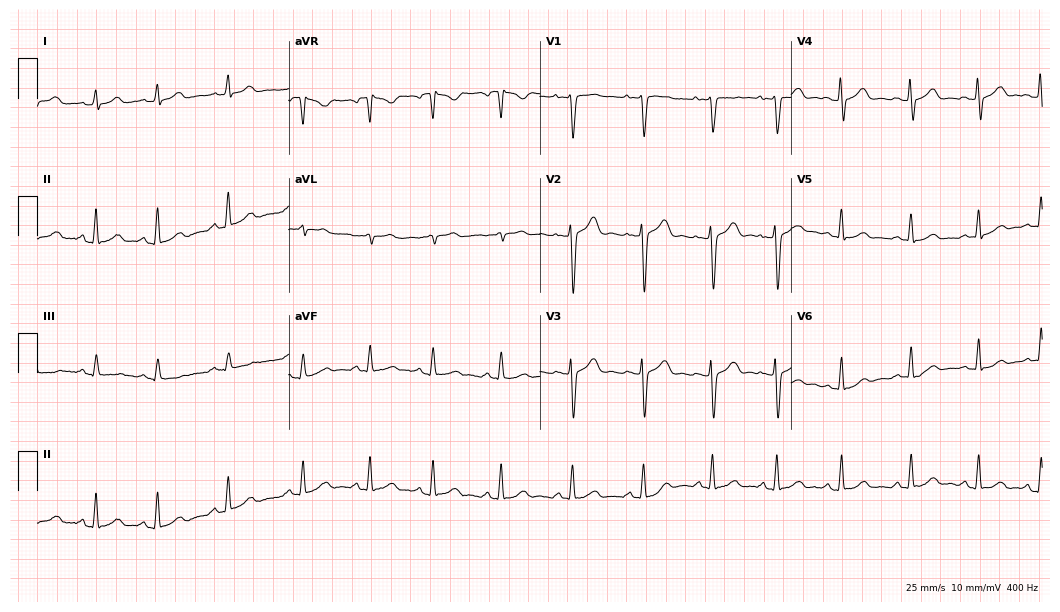
ECG — a 27-year-old woman. Screened for six findings — first-degree AV block, right bundle branch block (RBBB), left bundle branch block (LBBB), sinus bradycardia, atrial fibrillation (AF), sinus tachycardia — none is recorded. Other findings, if any, are not listed.